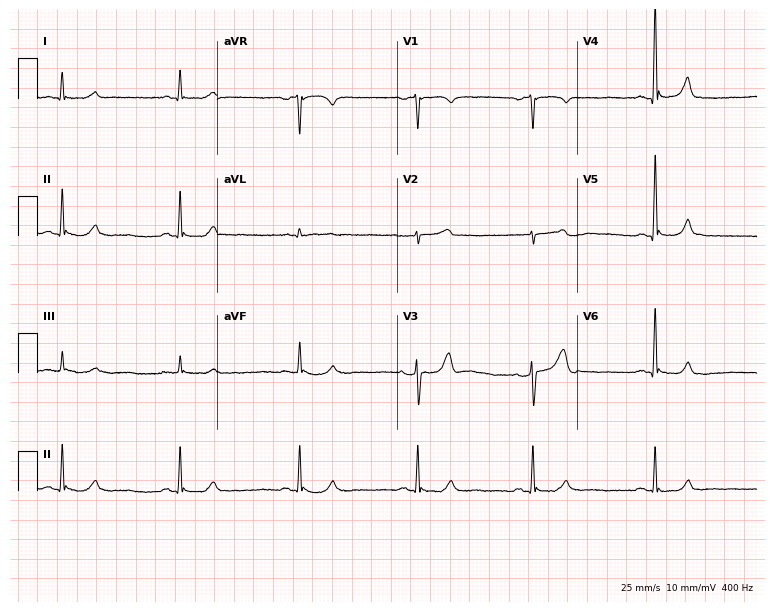
Electrocardiogram, a male patient, 73 years old. Of the six screened findings (first-degree AV block, right bundle branch block, left bundle branch block, sinus bradycardia, atrial fibrillation, sinus tachycardia), none is recorded. Only these six findings were labelled.